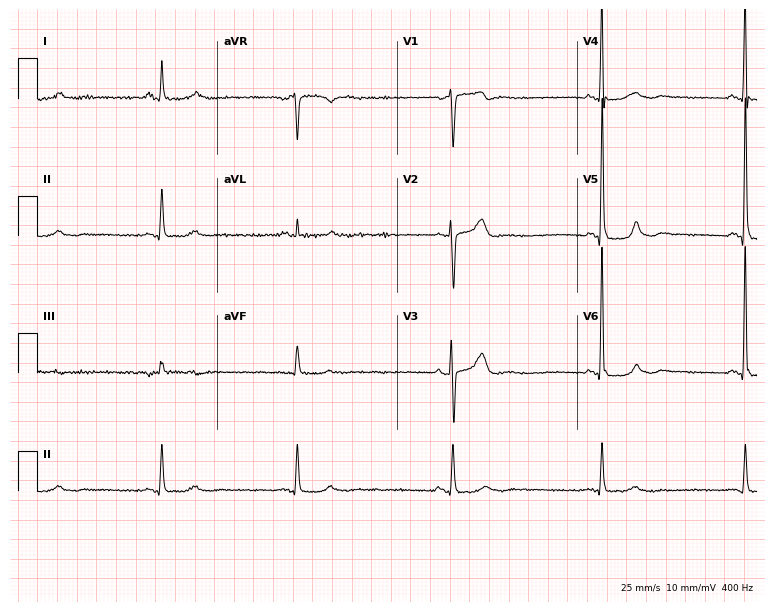
Electrocardiogram (7.3-second recording at 400 Hz), a man, 66 years old. Interpretation includes sinus bradycardia (a sinus rate of 50 beats per minute or less).